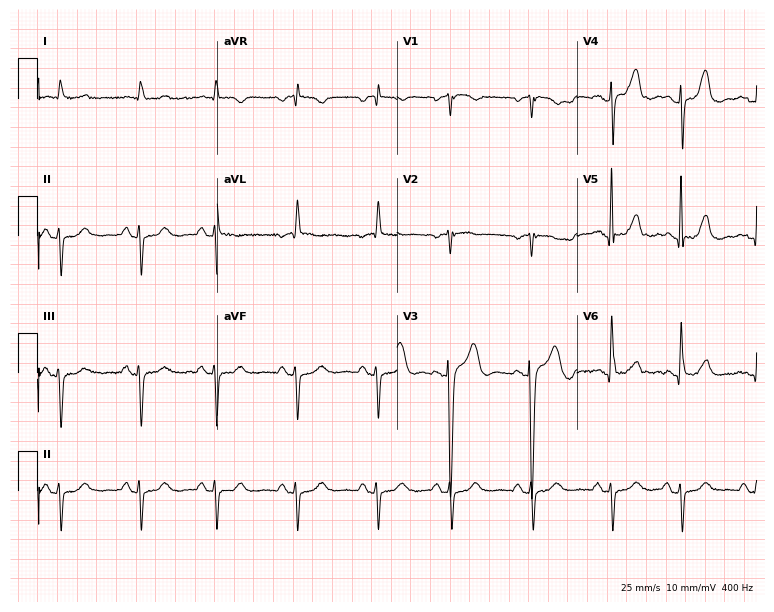
Standard 12-lead ECG recorded from a woman, 81 years old. None of these six findings is recorded: first-degree AV block, right bundle branch block, left bundle branch block, sinus bradycardia, atrial fibrillation, sinus tachycardia. Findings outside these six are not listed.